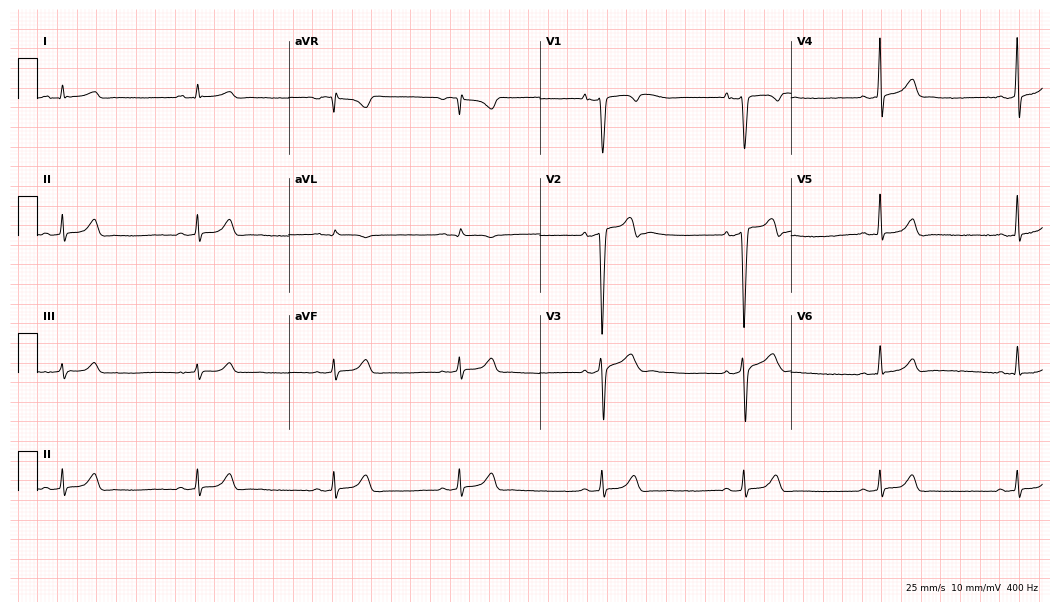
12-lead ECG from a male, 23 years old. Findings include sinus bradycardia (a sinus rate of 50 beats per minute or less).